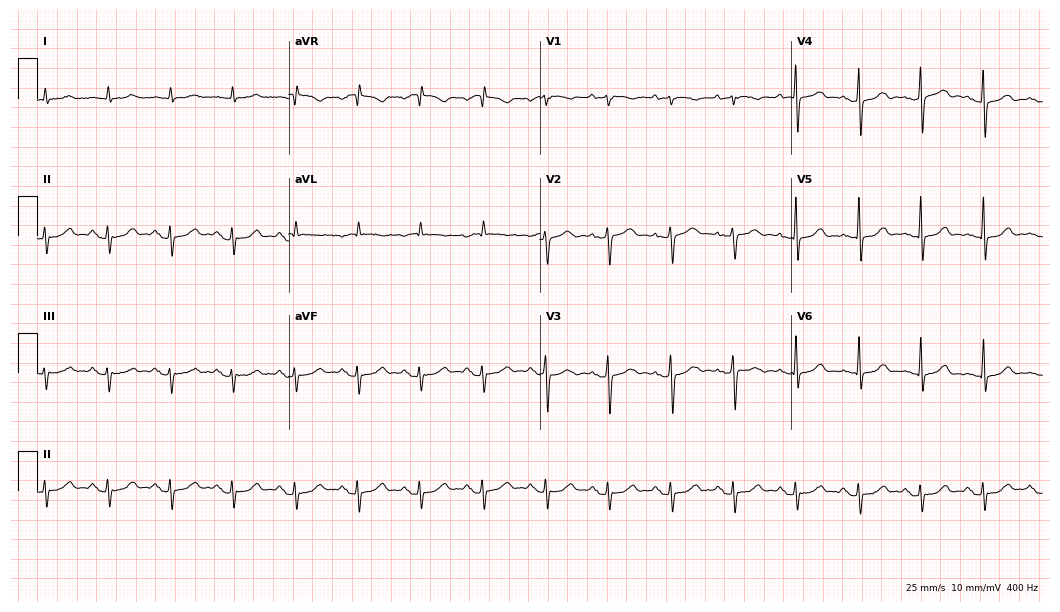
Electrocardiogram, an 84-year-old female. Of the six screened findings (first-degree AV block, right bundle branch block (RBBB), left bundle branch block (LBBB), sinus bradycardia, atrial fibrillation (AF), sinus tachycardia), none is recorded. Only these six findings were labelled.